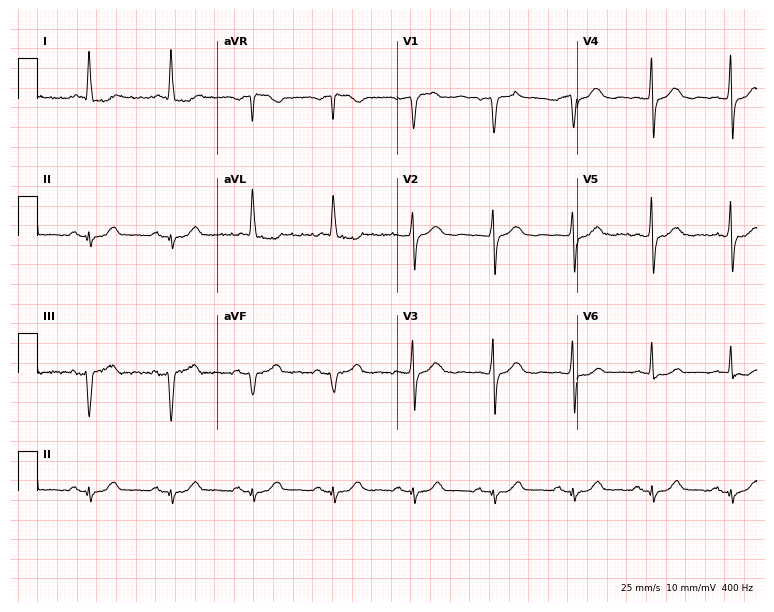
Standard 12-lead ECG recorded from a woman, 59 years old (7.3-second recording at 400 Hz). None of these six findings is recorded: first-degree AV block, right bundle branch block (RBBB), left bundle branch block (LBBB), sinus bradycardia, atrial fibrillation (AF), sinus tachycardia. Findings outside these six are not listed.